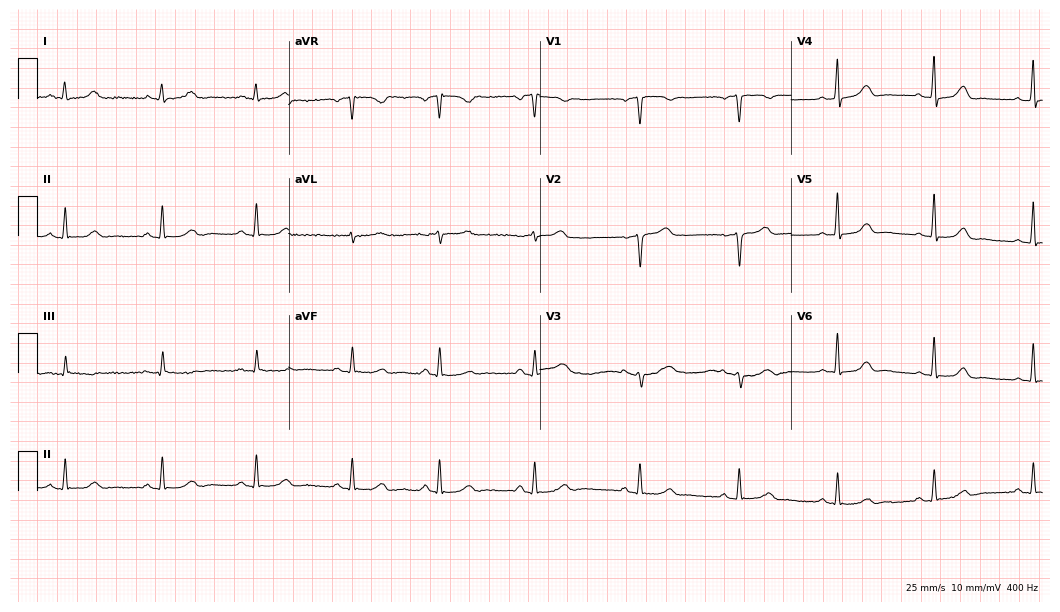
12-lead ECG from a woman, 55 years old. Labelled as a normal ECG.